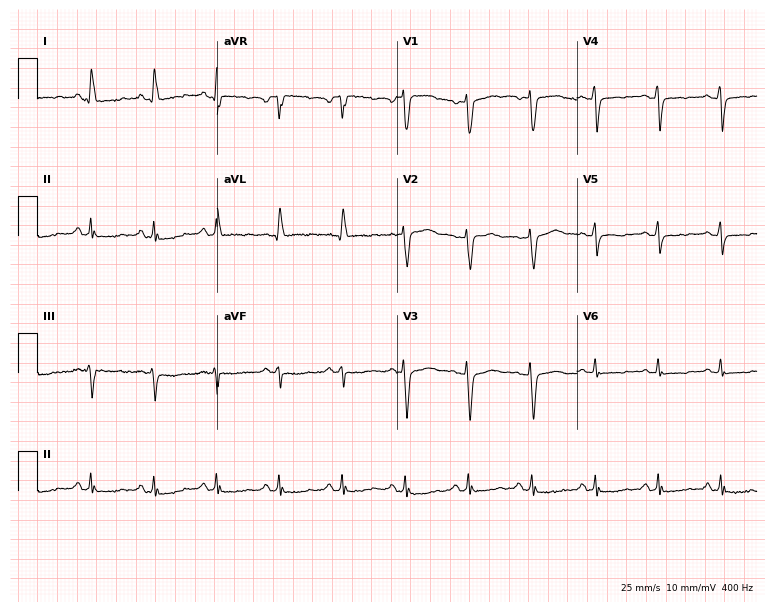
Standard 12-lead ECG recorded from a female patient, 34 years old. None of these six findings is recorded: first-degree AV block, right bundle branch block (RBBB), left bundle branch block (LBBB), sinus bradycardia, atrial fibrillation (AF), sinus tachycardia. Only these six findings were labelled.